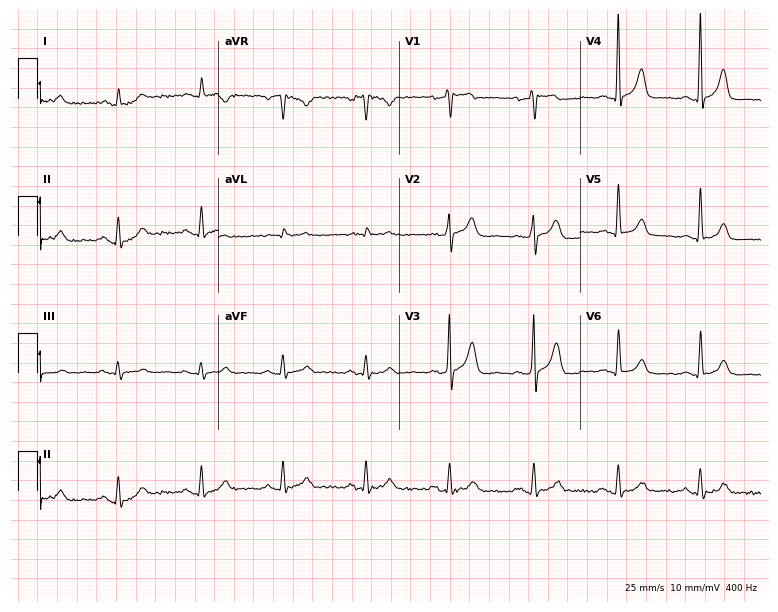
12-lead ECG from a 49-year-old man. No first-degree AV block, right bundle branch block (RBBB), left bundle branch block (LBBB), sinus bradycardia, atrial fibrillation (AF) or sinus tachycardia recorded for this tracing. Other findings, if any, are not listed.